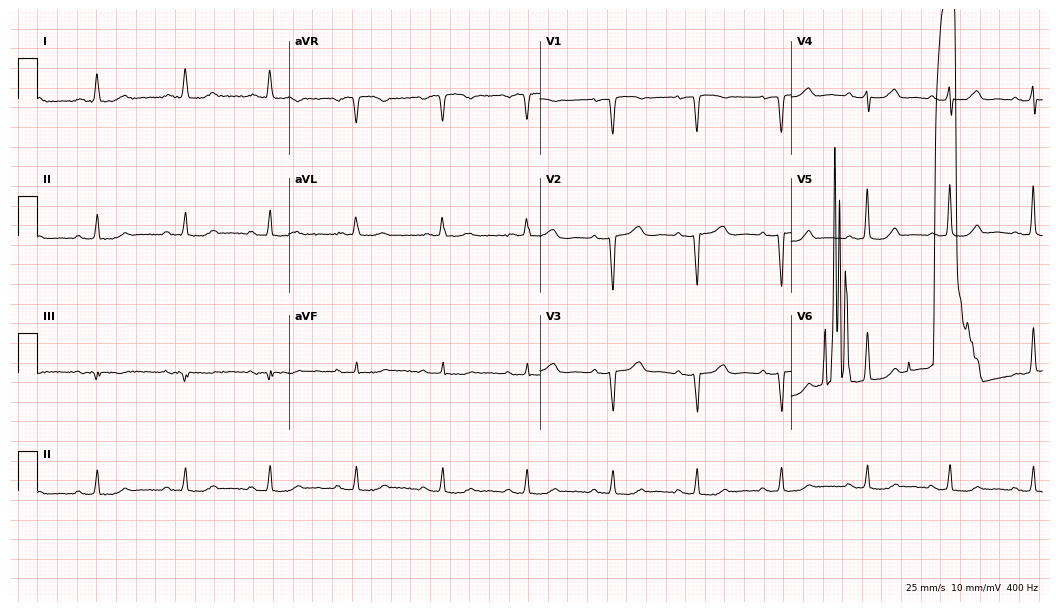
12-lead ECG from a female patient, 62 years old. No first-degree AV block, right bundle branch block, left bundle branch block, sinus bradycardia, atrial fibrillation or sinus tachycardia recorded for this tracing.